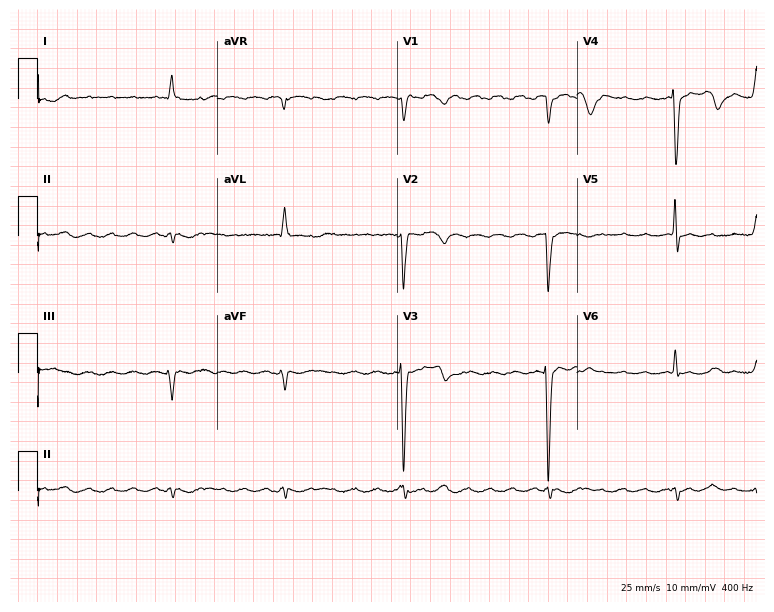
ECG — a 70-year-old male. Findings include atrial fibrillation (AF).